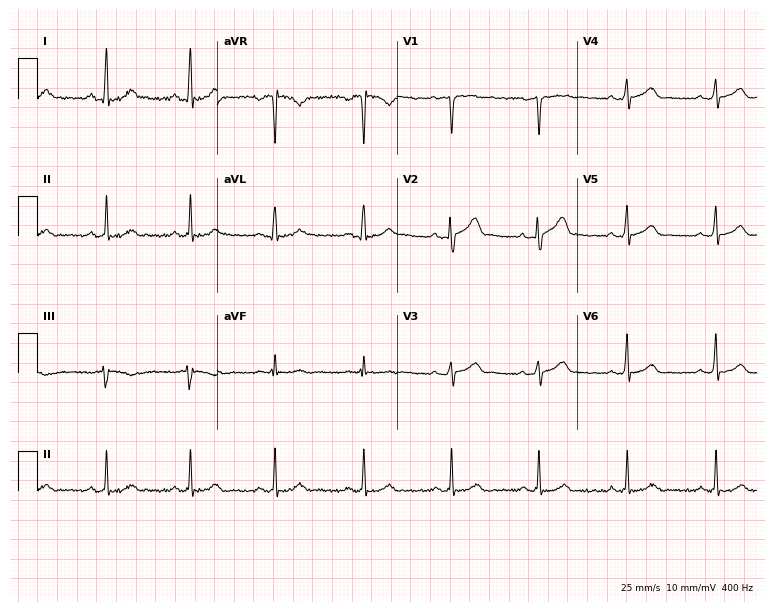
Standard 12-lead ECG recorded from a man, 36 years old. Read as a normal ECG.